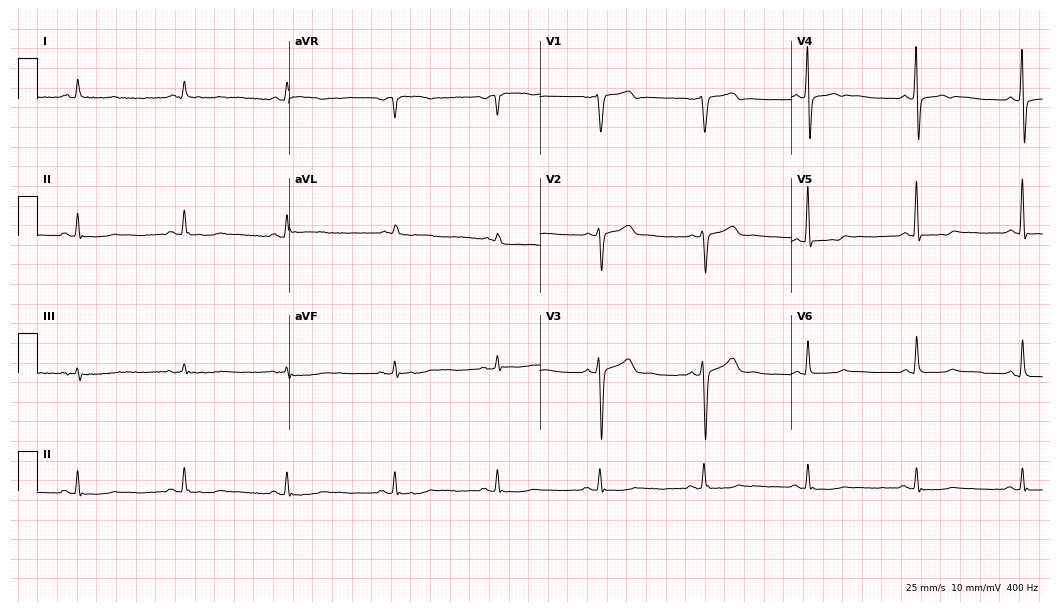
Resting 12-lead electrocardiogram (10.2-second recording at 400 Hz). Patient: a 70-year-old male. None of these six findings is recorded: first-degree AV block, right bundle branch block, left bundle branch block, sinus bradycardia, atrial fibrillation, sinus tachycardia.